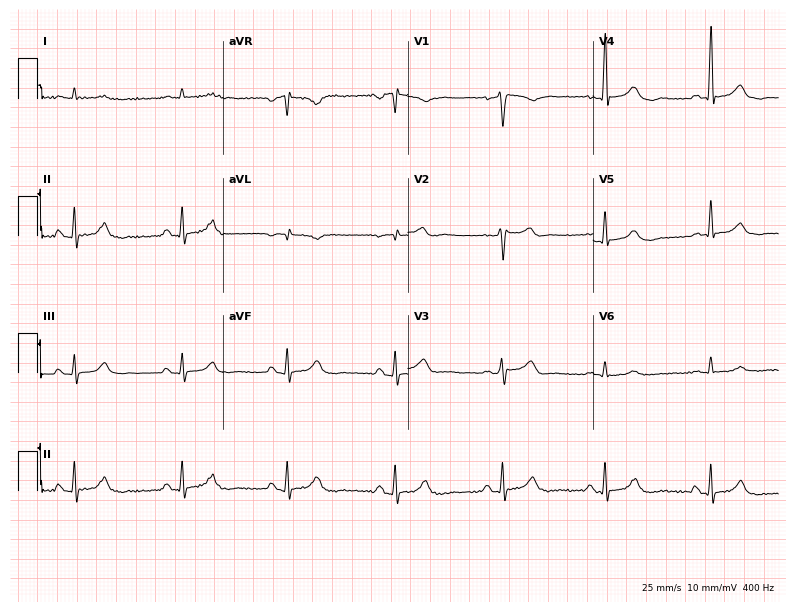
12-lead ECG from a 74-year-old male. No first-degree AV block, right bundle branch block (RBBB), left bundle branch block (LBBB), sinus bradycardia, atrial fibrillation (AF) or sinus tachycardia recorded for this tracing. Findings outside these six are not listed.